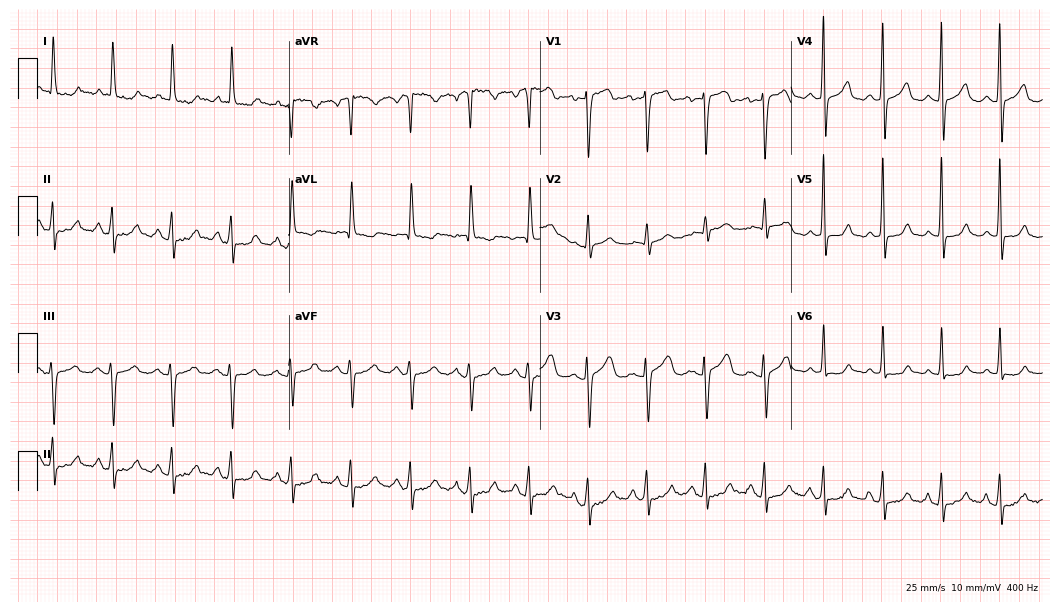
Standard 12-lead ECG recorded from a female, 66 years old (10.2-second recording at 400 Hz). None of these six findings is recorded: first-degree AV block, right bundle branch block, left bundle branch block, sinus bradycardia, atrial fibrillation, sinus tachycardia.